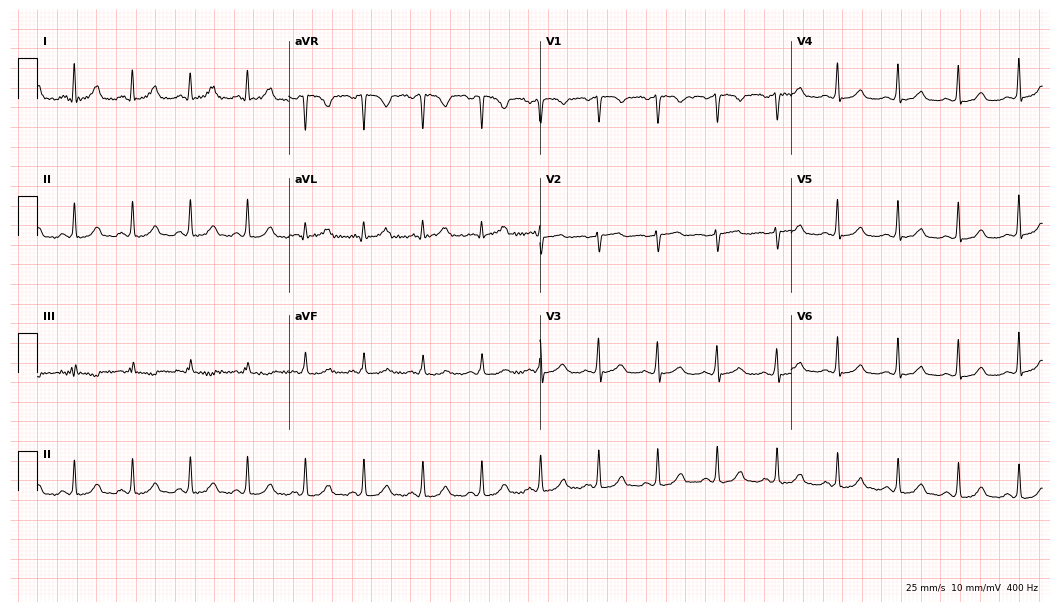
ECG (10.2-second recording at 400 Hz) — a 36-year-old woman. Labelled as a normal ECG.